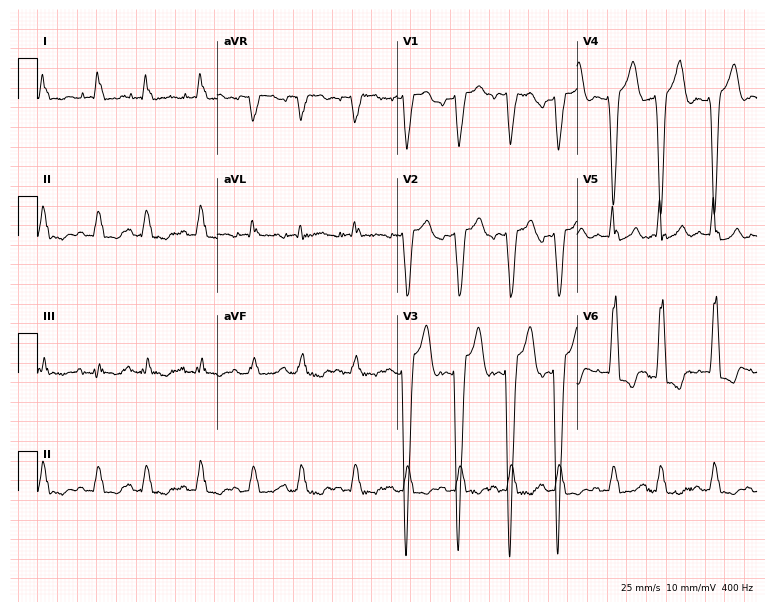
12-lead ECG from a 58-year-old female patient. Shows left bundle branch block (LBBB).